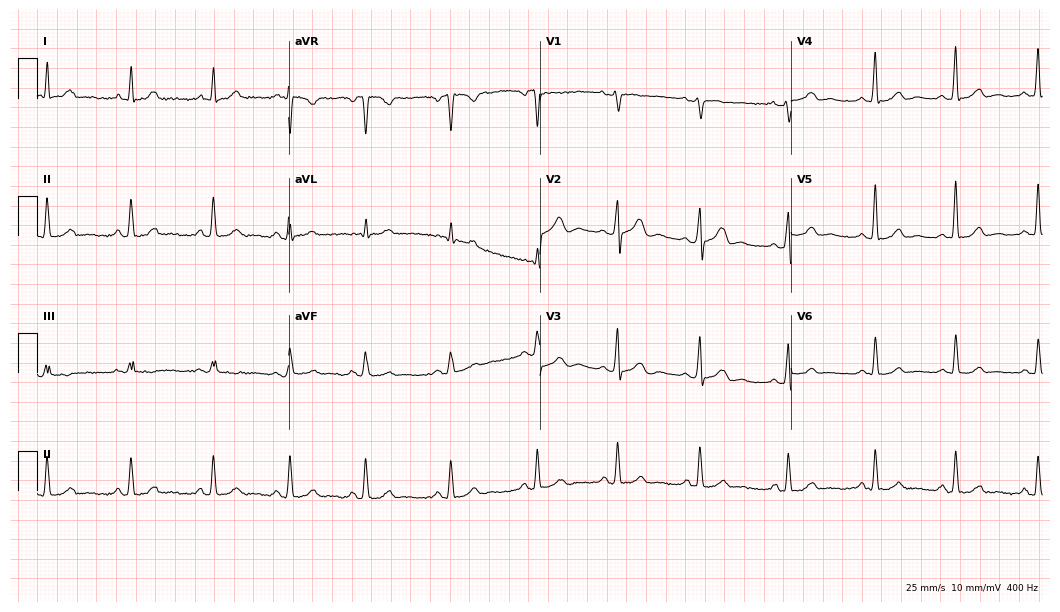
Electrocardiogram, a man, 37 years old. Overall reading on record: normal ECG.